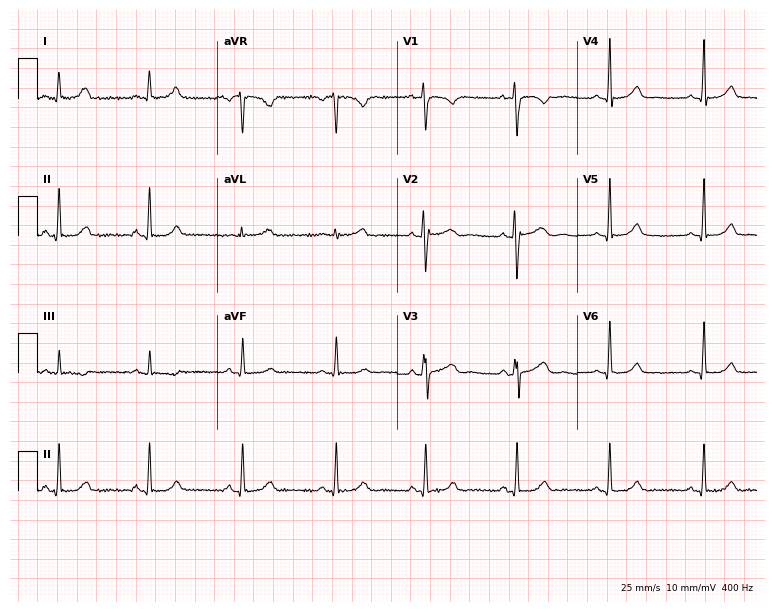
Electrocardiogram, a 24-year-old female. Overall reading on record: normal ECG.